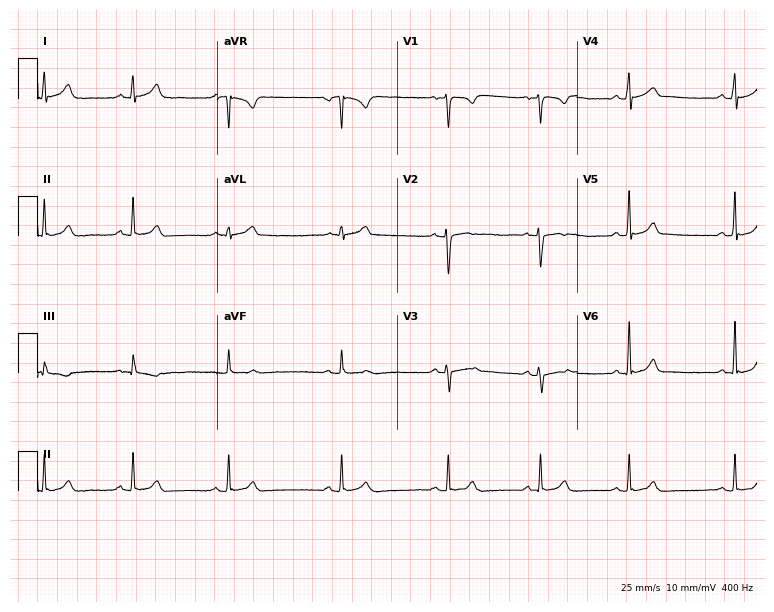
Resting 12-lead electrocardiogram (7.3-second recording at 400 Hz). Patient: a 24-year-old female. Read as a normal ECG.